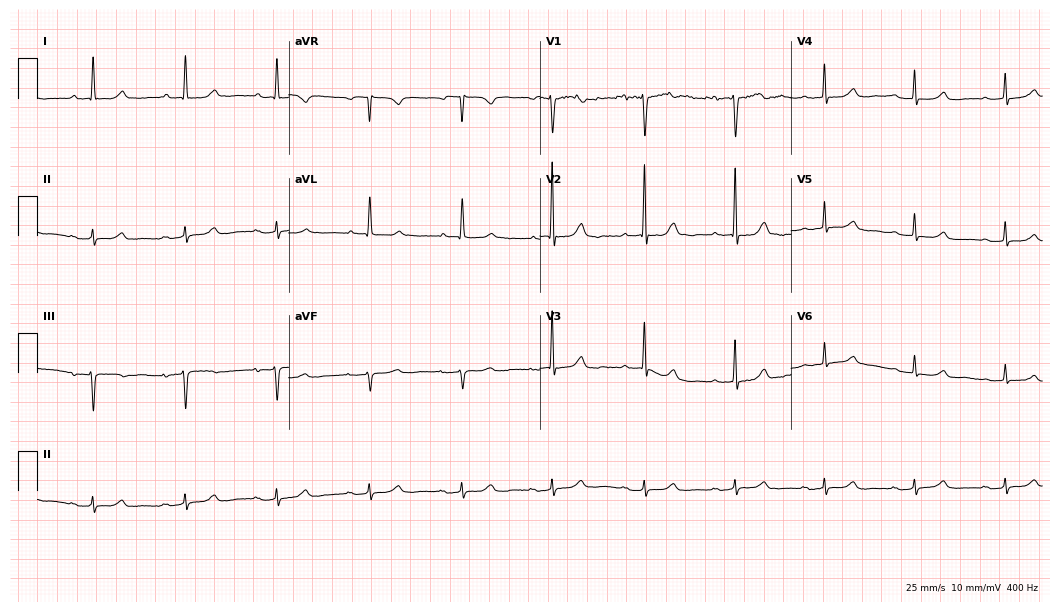
Resting 12-lead electrocardiogram (10.2-second recording at 400 Hz). Patient: a 75-year-old man. Read as a normal ECG.